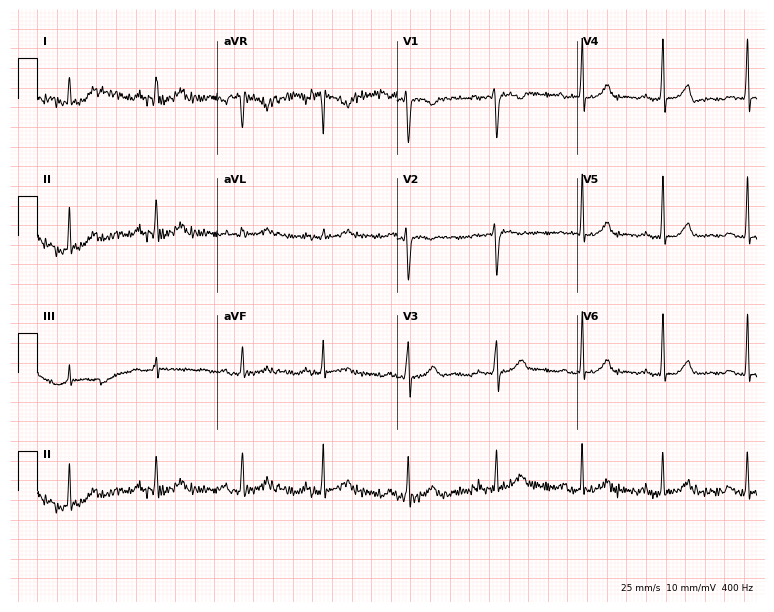
12-lead ECG from a female patient, 41 years old. No first-degree AV block, right bundle branch block, left bundle branch block, sinus bradycardia, atrial fibrillation or sinus tachycardia recorded for this tracing.